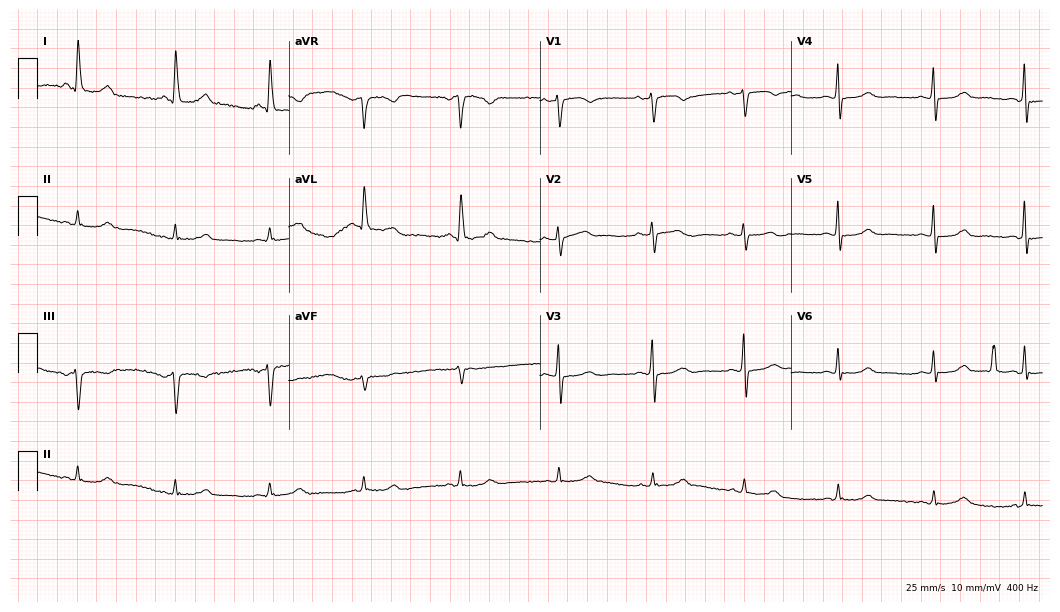
12-lead ECG from a female, 68 years old (10.2-second recording at 400 Hz). Recorded interpretation: within normal limits.